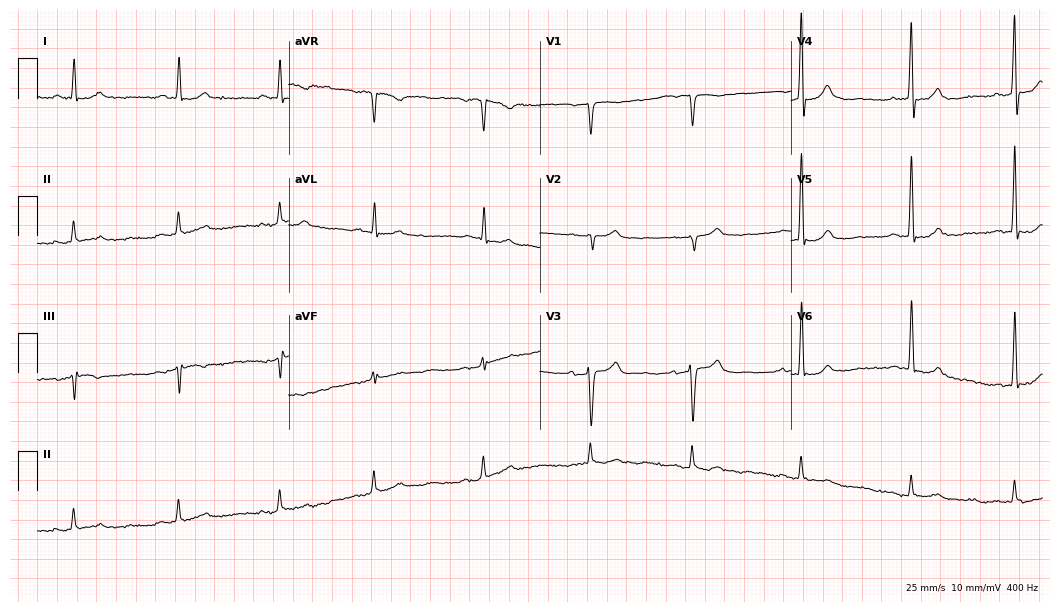
12-lead ECG from a 74-year-old male. Screened for six findings — first-degree AV block, right bundle branch block (RBBB), left bundle branch block (LBBB), sinus bradycardia, atrial fibrillation (AF), sinus tachycardia — none is recorded. Only these six findings were labelled.